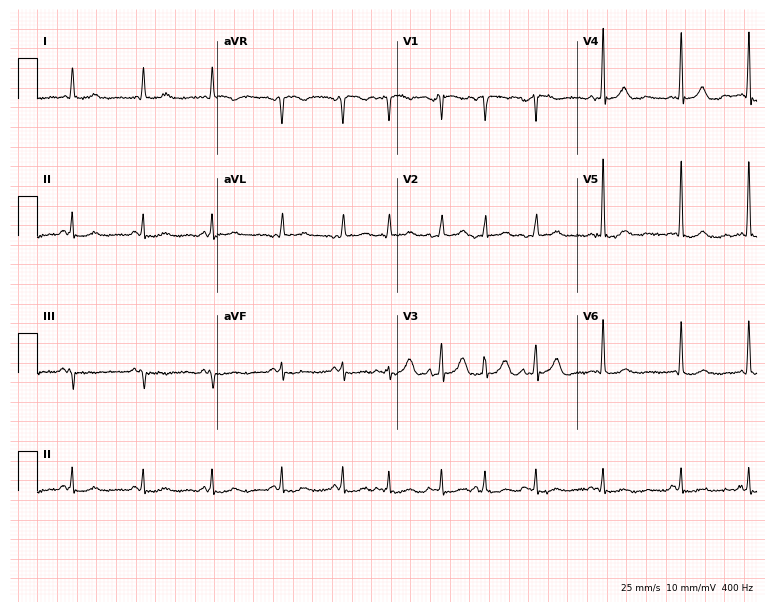
Standard 12-lead ECG recorded from a female, 77 years old (7.3-second recording at 400 Hz). None of these six findings is recorded: first-degree AV block, right bundle branch block, left bundle branch block, sinus bradycardia, atrial fibrillation, sinus tachycardia.